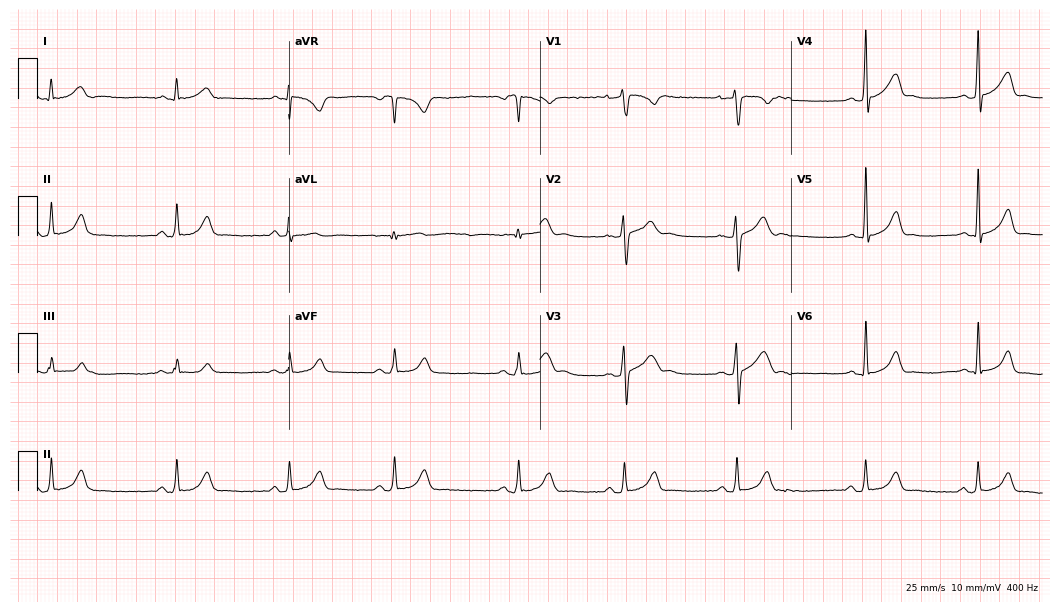
Resting 12-lead electrocardiogram. Patient: a man, 24 years old. Read as a normal ECG.